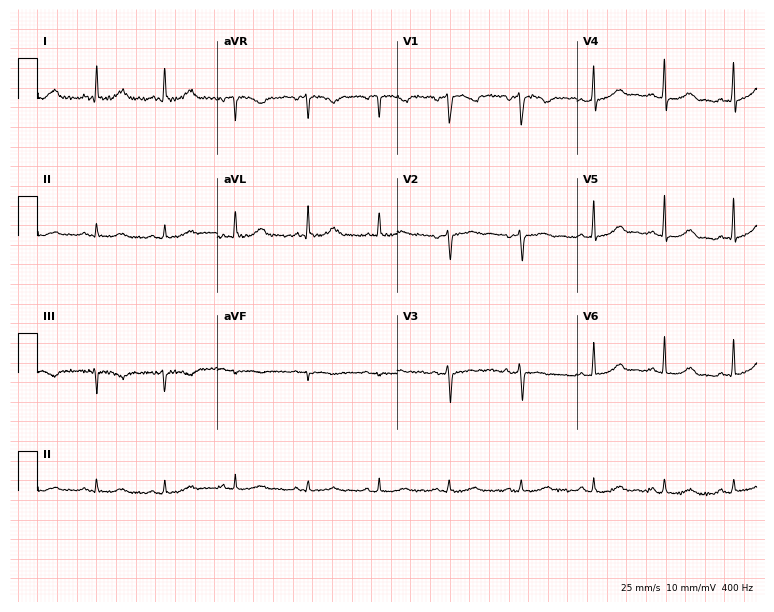
12-lead ECG from a female, 42 years old. Labelled as a normal ECG.